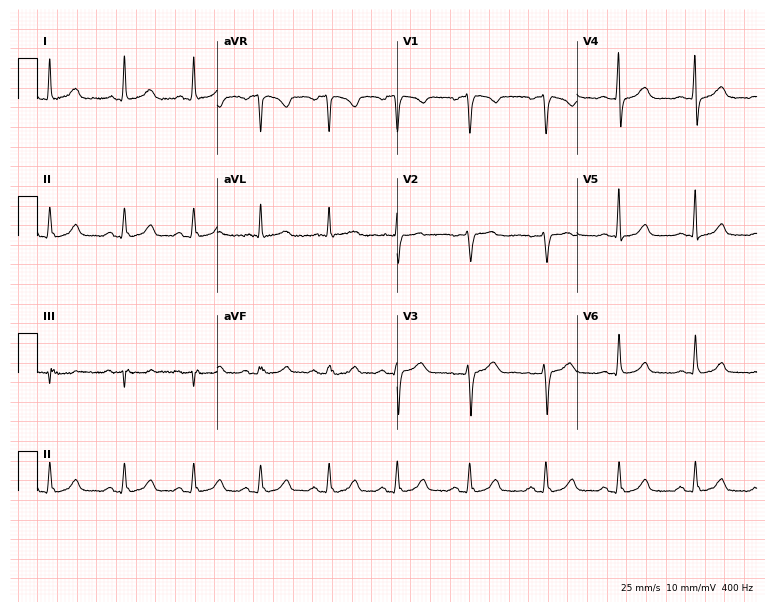
ECG (7.3-second recording at 400 Hz) — a female patient, 37 years old. Screened for six findings — first-degree AV block, right bundle branch block, left bundle branch block, sinus bradycardia, atrial fibrillation, sinus tachycardia — none is recorded.